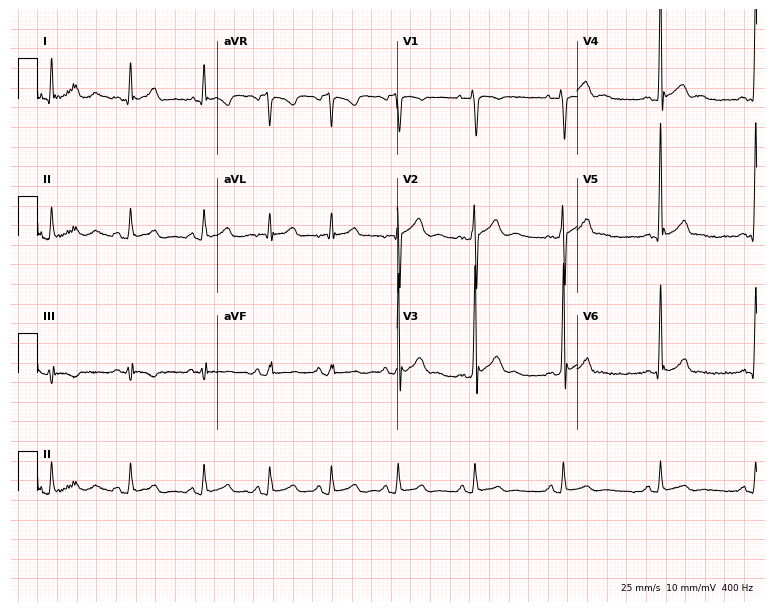
Standard 12-lead ECG recorded from a male, 29 years old. None of these six findings is recorded: first-degree AV block, right bundle branch block (RBBB), left bundle branch block (LBBB), sinus bradycardia, atrial fibrillation (AF), sinus tachycardia.